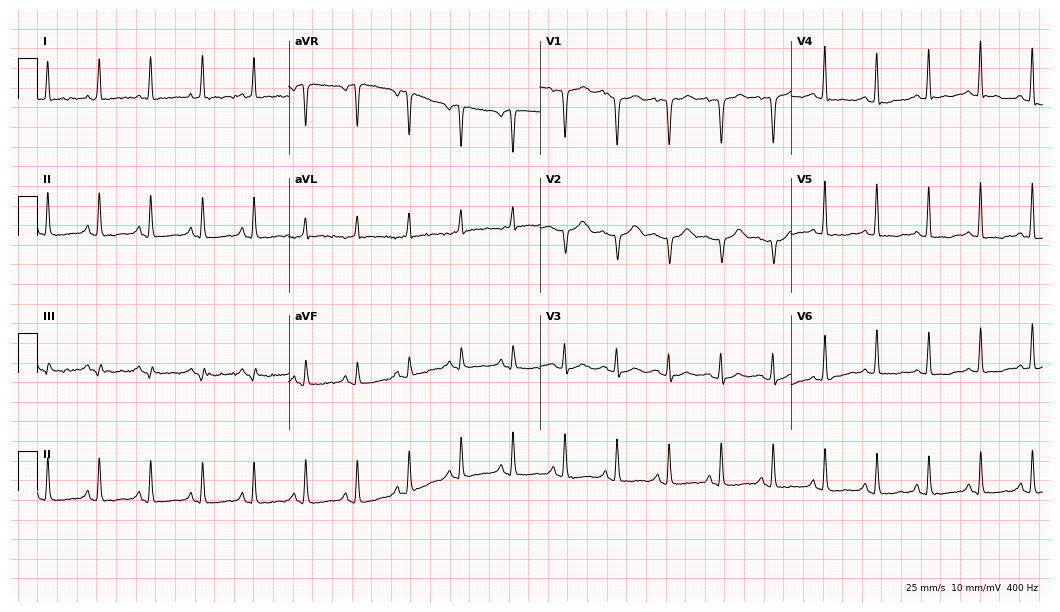
Resting 12-lead electrocardiogram (10.2-second recording at 400 Hz). Patient: a 47-year-old woman. None of these six findings is recorded: first-degree AV block, right bundle branch block (RBBB), left bundle branch block (LBBB), sinus bradycardia, atrial fibrillation (AF), sinus tachycardia. Only these six findings were labelled.